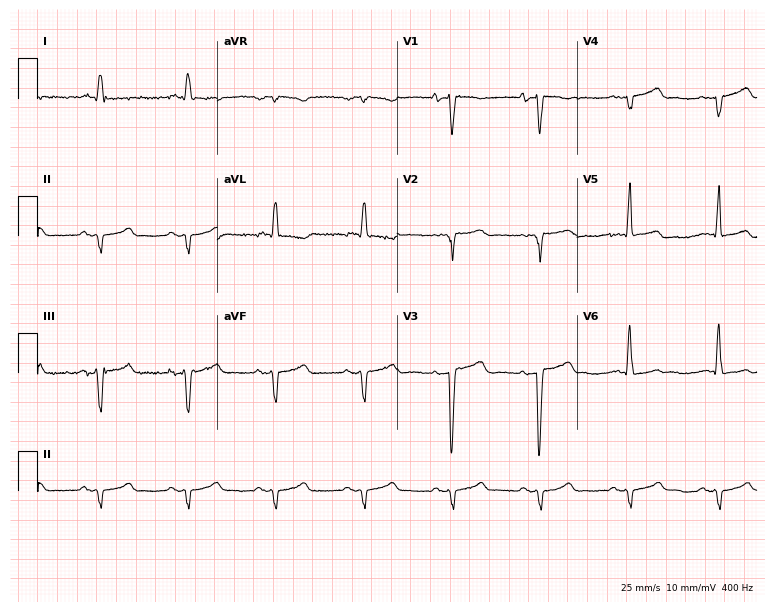
ECG (7.3-second recording at 400 Hz) — a 76-year-old female patient. Screened for six findings — first-degree AV block, right bundle branch block, left bundle branch block, sinus bradycardia, atrial fibrillation, sinus tachycardia — none is recorded.